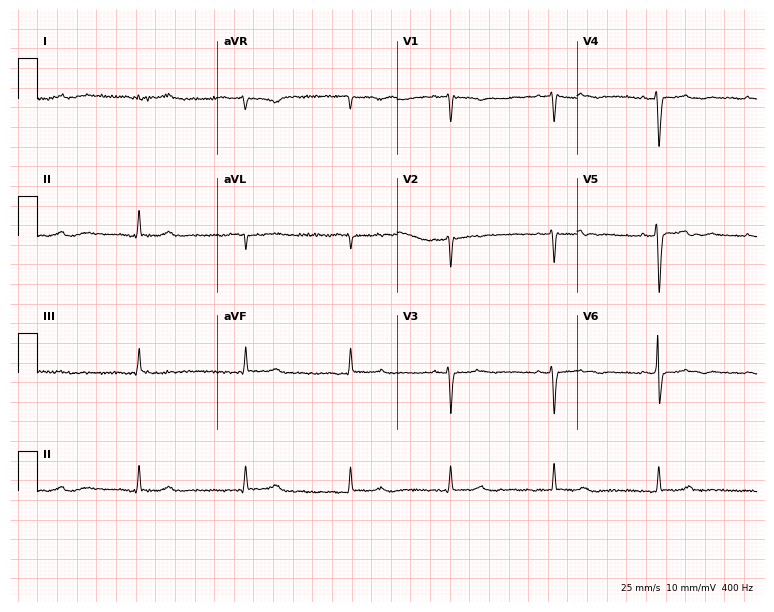
Standard 12-lead ECG recorded from a female patient, 70 years old. None of these six findings is recorded: first-degree AV block, right bundle branch block (RBBB), left bundle branch block (LBBB), sinus bradycardia, atrial fibrillation (AF), sinus tachycardia. Only these six findings were labelled.